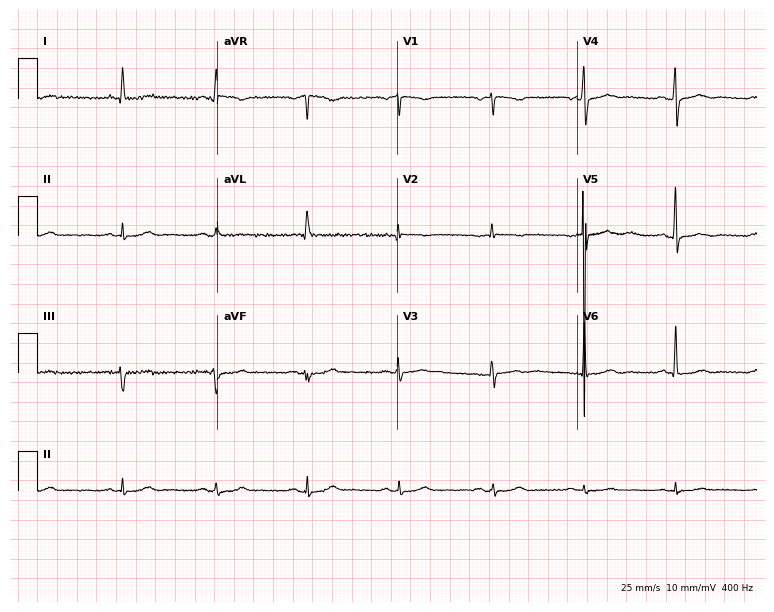
Electrocardiogram (7.3-second recording at 400 Hz), a 69-year-old female. Of the six screened findings (first-degree AV block, right bundle branch block, left bundle branch block, sinus bradycardia, atrial fibrillation, sinus tachycardia), none is recorded. Findings outside these six are not listed.